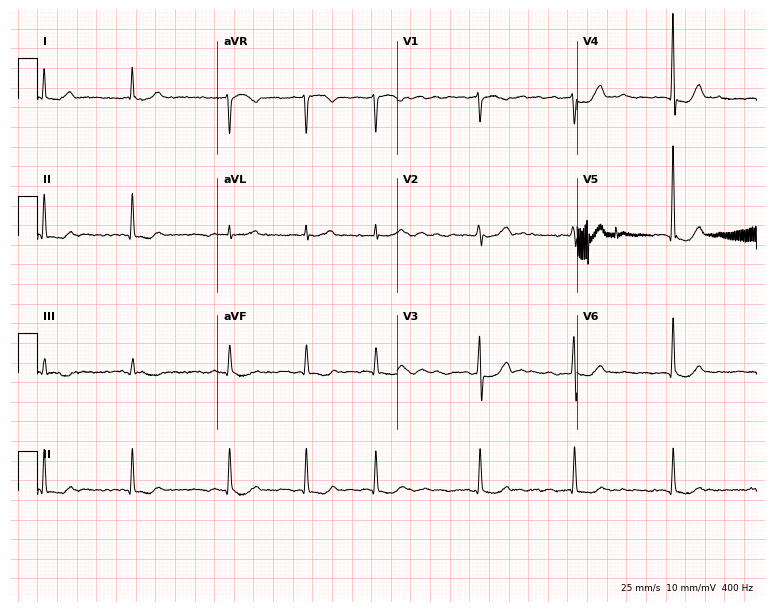
Electrocardiogram, a woman, 79 years old. Interpretation includes atrial fibrillation (AF).